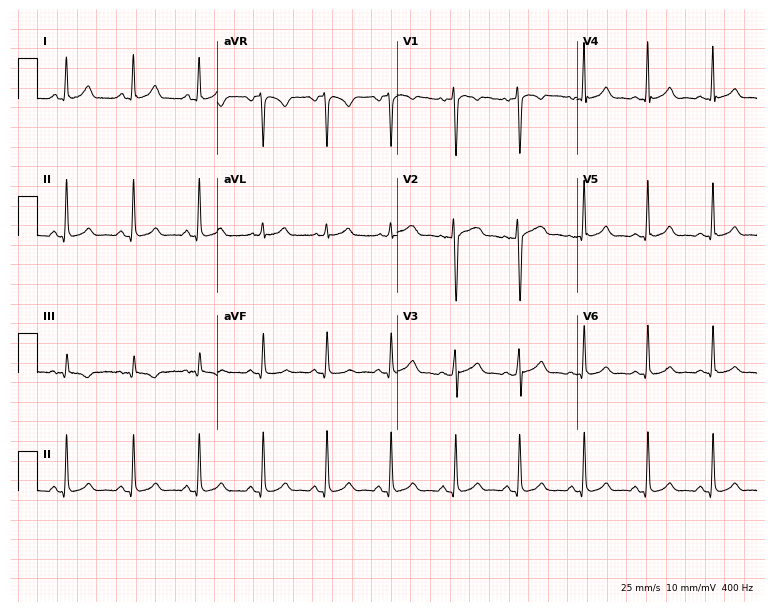
Resting 12-lead electrocardiogram. Patient: a female, 35 years old. Read as a normal ECG.